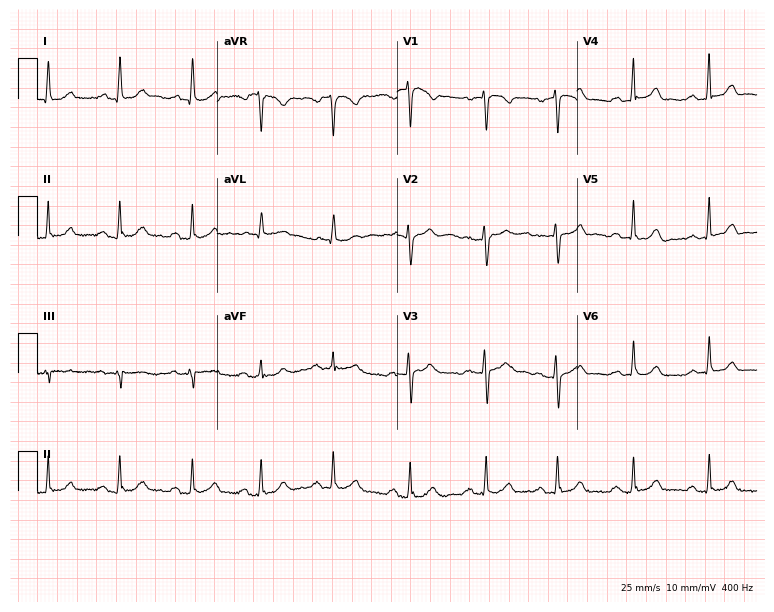
Resting 12-lead electrocardiogram (7.3-second recording at 400 Hz). Patient: a 47-year-old woman. None of these six findings is recorded: first-degree AV block, right bundle branch block, left bundle branch block, sinus bradycardia, atrial fibrillation, sinus tachycardia. Only these six findings were labelled.